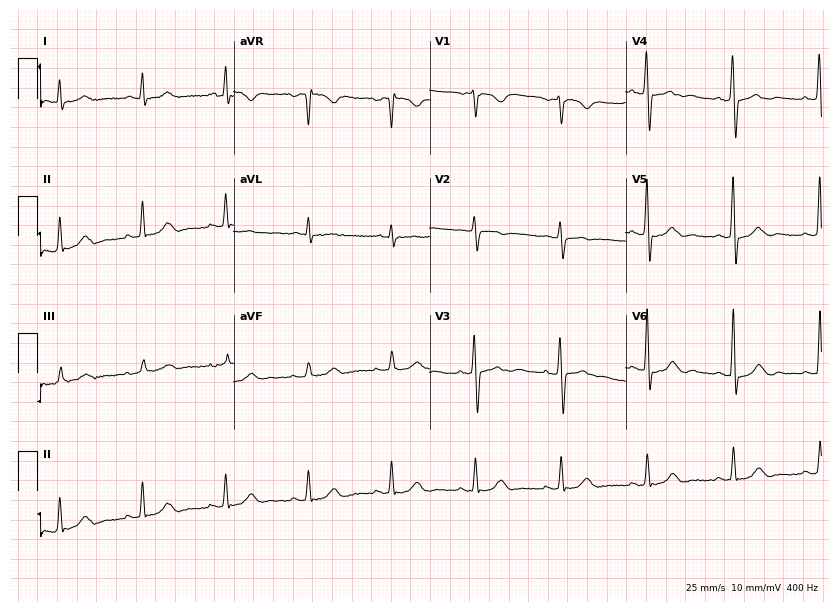
12-lead ECG from a male patient, 64 years old. Recorded interpretation: within normal limits.